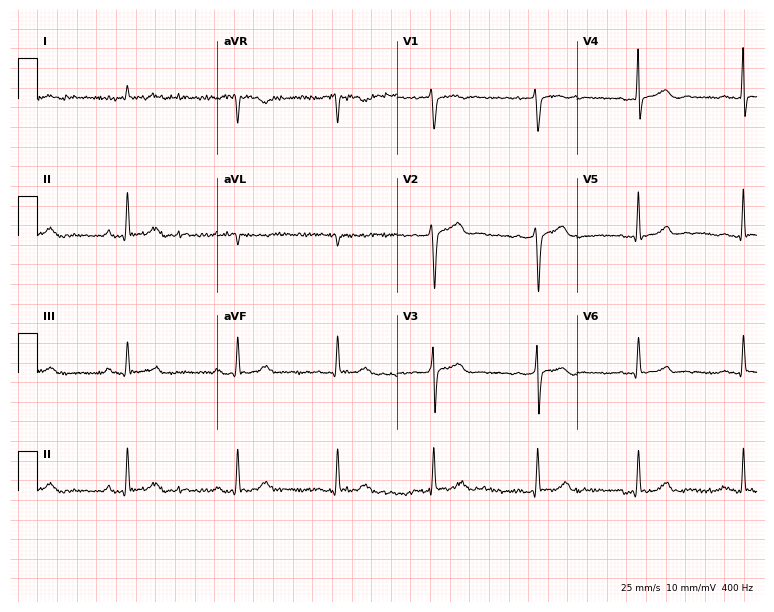
Standard 12-lead ECG recorded from a man, 30 years old. None of these six findings is recorded: first-degree AV block, right bundle branch block, left bundle branch block, sinus bradycardia, atrial fibrillation, sinus tachycardia. Other findings, if any, are not listed.